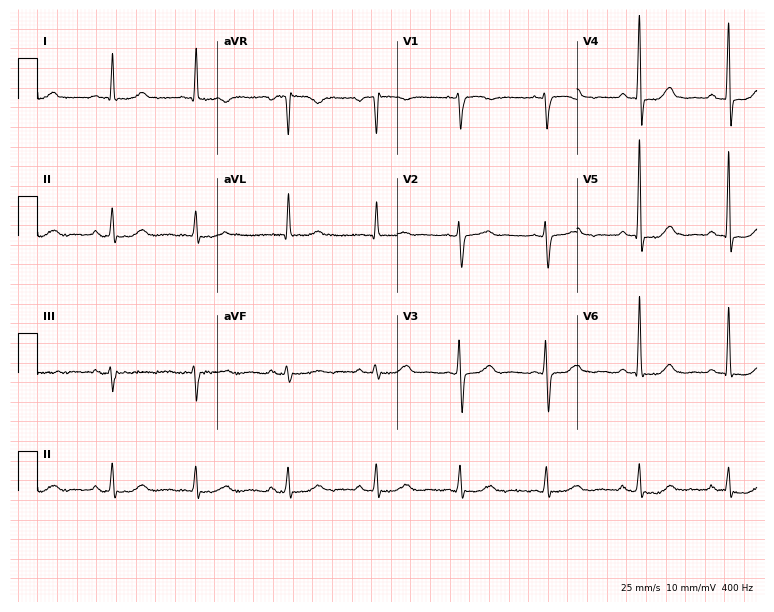
Standard 12-lead ECG recorded from a female, 72 years old. Read as a normal ECG.